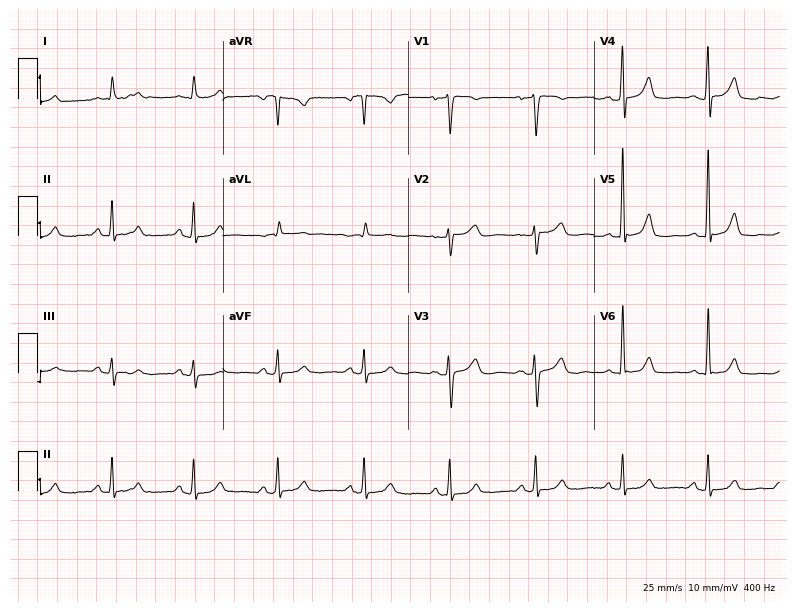
12-lead ECG from an 80-year-old female. Labelled as a normal ECG.